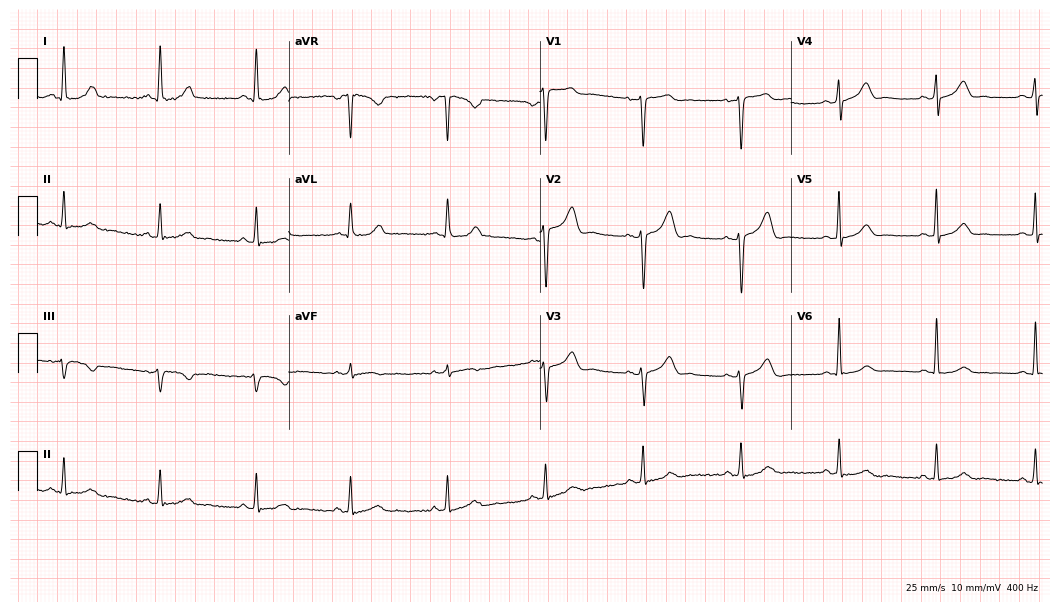
ECG (10.2-second recording at 400 Hz) — a female patient, 41 years old. Labelled as a normal ECG.